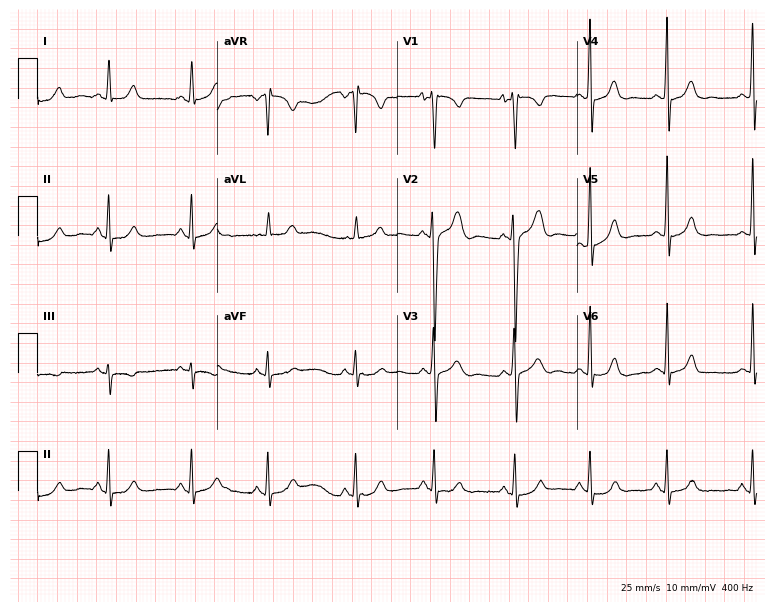
Standard 12-lead ECG recorded from a female patient, 28 years old (7.3-second recording at 400 Hz). None of these six findings is recorded: first-degree AV block, right bundle branch block, left bundle branch block, sinus bradycardia, atrial fibrillation, sinus tachycardia. Only these six findings were labelled.